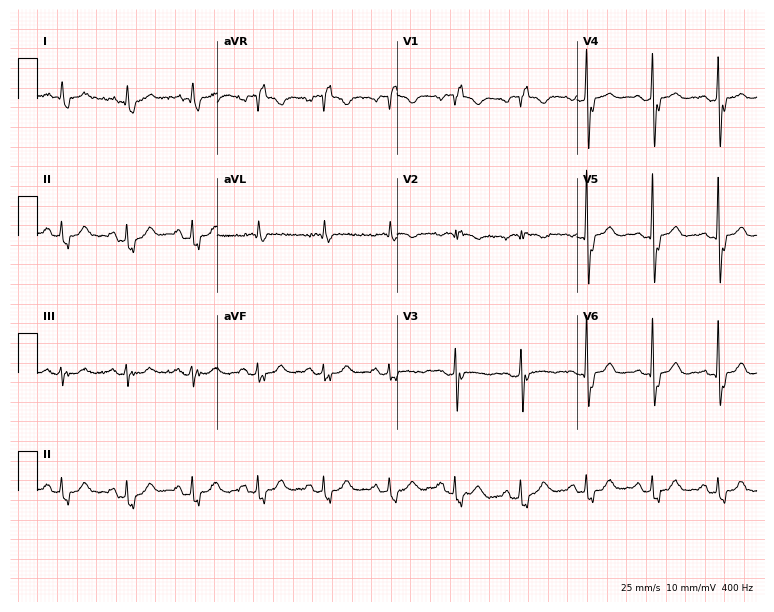
Resting 12-lead electrocardiogram (7.3-second recording at 400 Hz). Patient: an 81-year-old male. The tracing shows right bundle branch block.